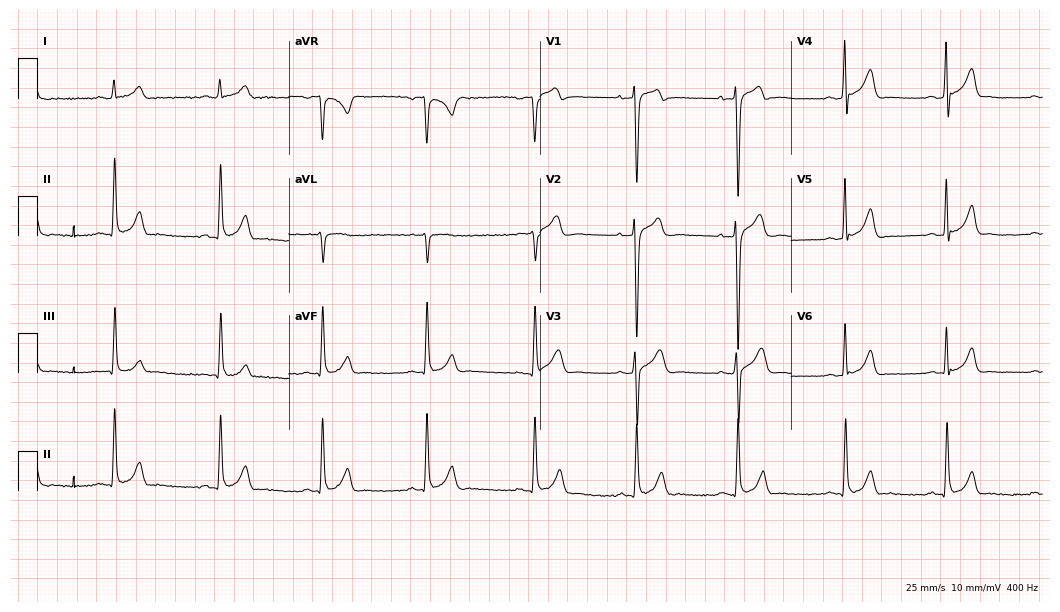
12-lead ECG from a man, 23 years old. Labelled as a normal ECG.